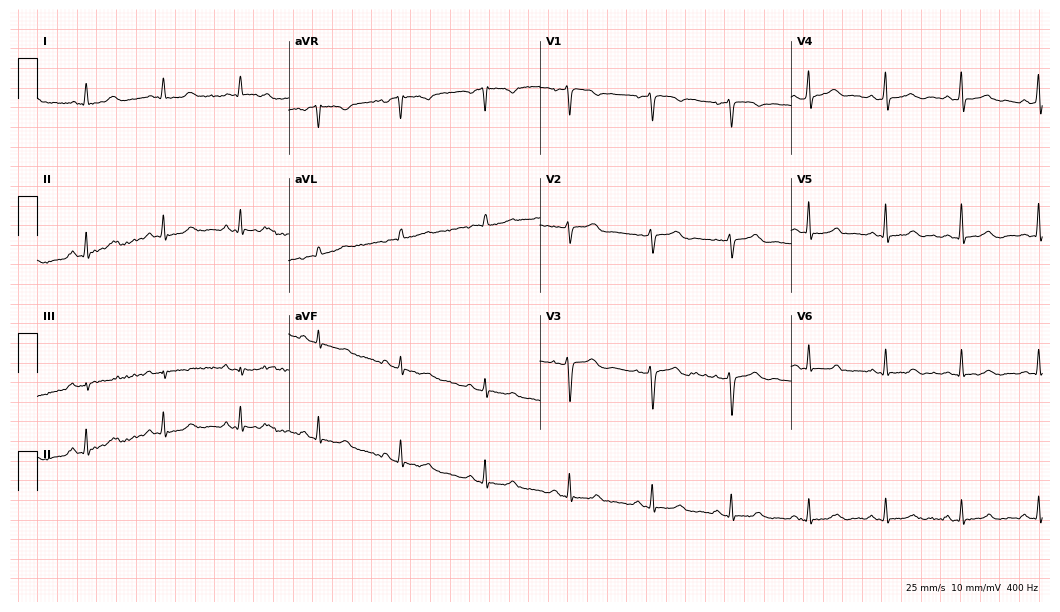
ECG (10.2-second recording at 400 Hz) — a 47-year-old female patient. Labelled as a normal ECG.